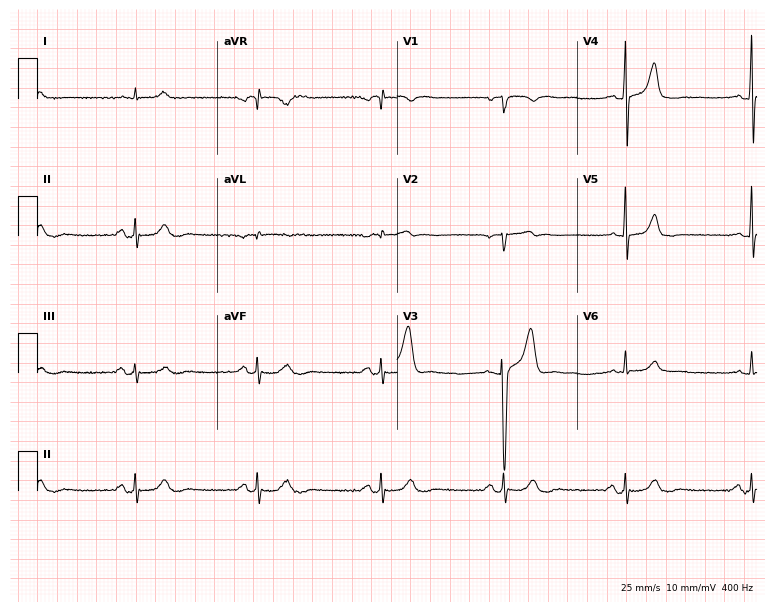
Resting 12-lead electrocardiogram (7.3-second recording at 400 Hz). Patient: a 74-year-old male. The tracing shows sinus bradycardia (a sinus rate of 50 beats per minute or less).